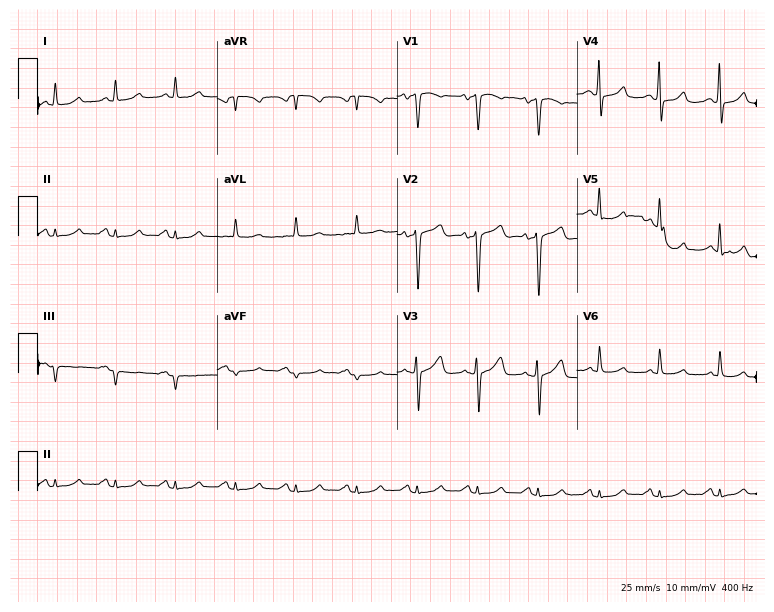
ECG — a 64-year-old female. Screened for six findings — first-degree AV block, right bundle branch block (RBBB), left bundle branch block (LBBB), sinus bradycardia, atrial fibrillation (AF), sinus tachycardia — none is recorded. Findings outside these six are not listed.